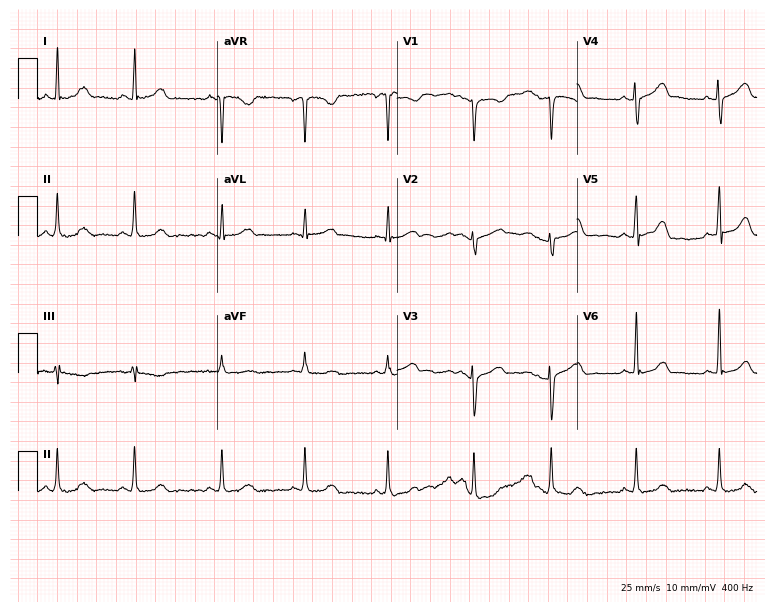
12-lead ECG (7.3-second recording at 400 Hz) from a 33-year-old female. Labelled as a normal ECG.